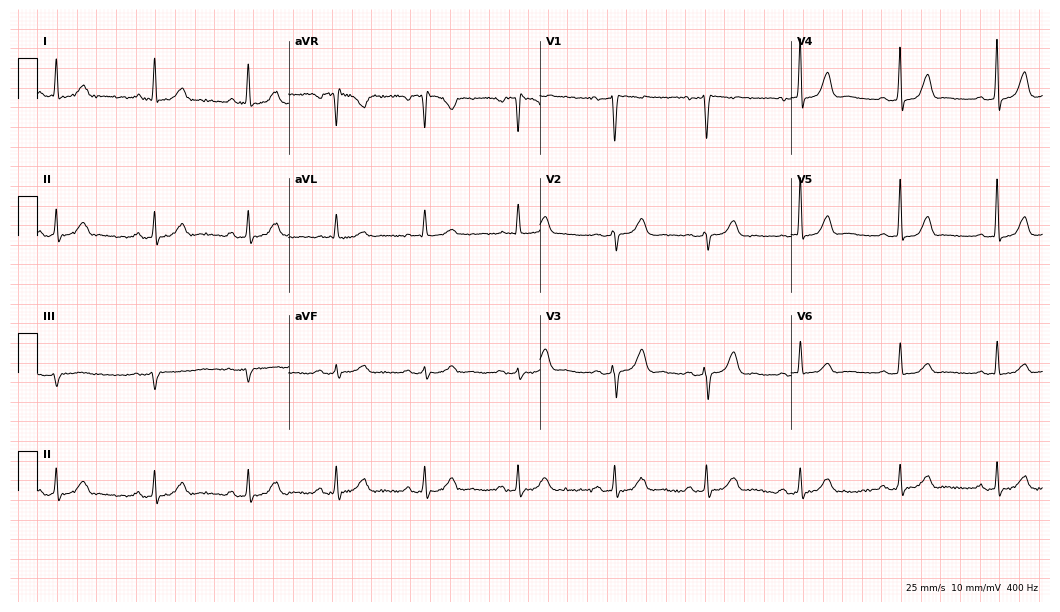
ECG (10.2-second recording at 400 Hz) — a female, 57 years old. Screened for six findings — first-degree AV block, right bundle branch block, left bundle branch block, sinus bradycardia, atrial fibrillation, sinus tachycardia — none is recorded.